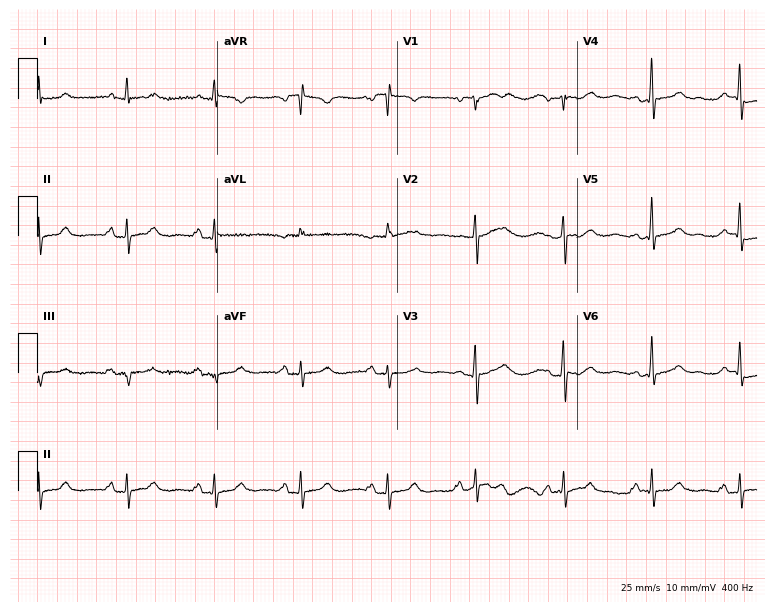
Resting 12-lead electrocardiogram. Patient: an 82-year-old female. None of these six findings is recorded: first-degree AV block, right bundle branch block (RBBB), left bundle branch block (LBBB), sinus bradycardia, atrial fibrillation (AF), sinus tachycardia.